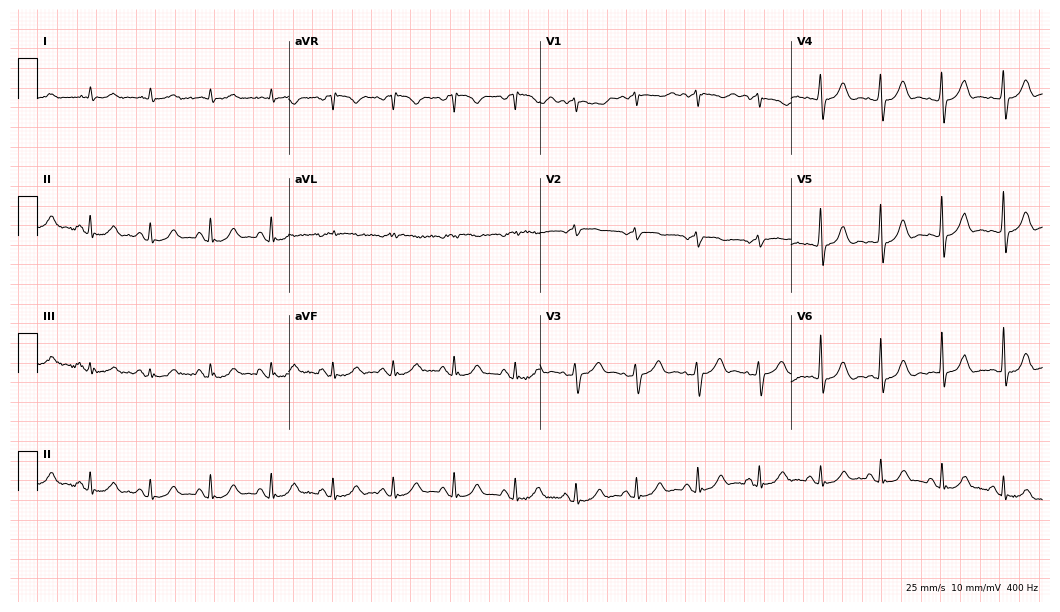
Resting 12-lead electrocardiogram (10.2-second recording at 400 Hz). Patient: an 81-year-old male. Read as a normal ECG.